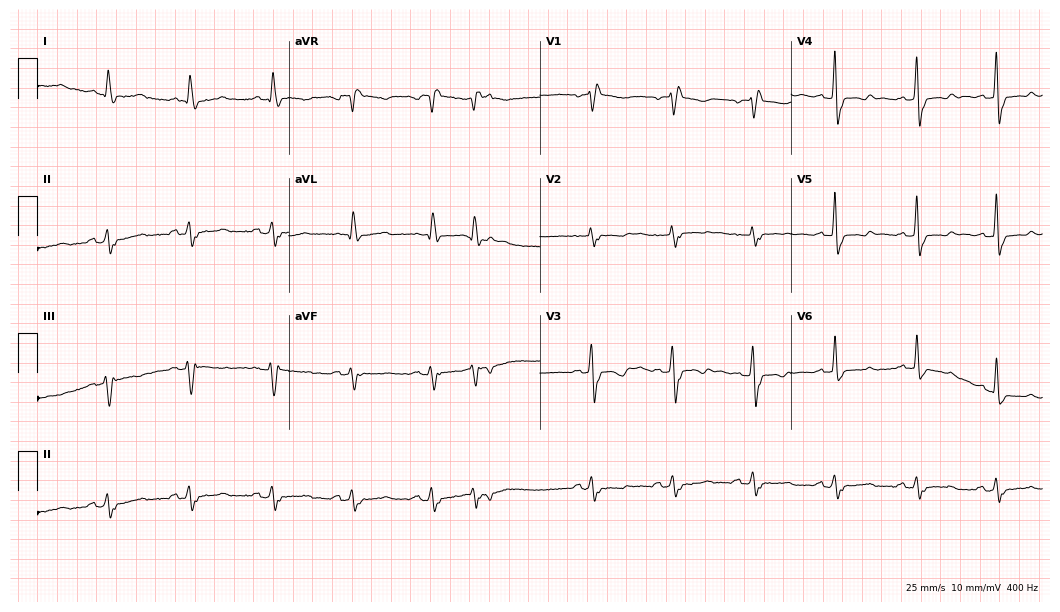
Standard 12-lead ECG recorded from a female, 82 years old (10.2-second recording at 400 Hz). None of these six findings is recorded: first-degree AV block, right bundle branch block, left bundle branch block, sinus bradycardia, atrial fibrillation, sinus tachycardia.